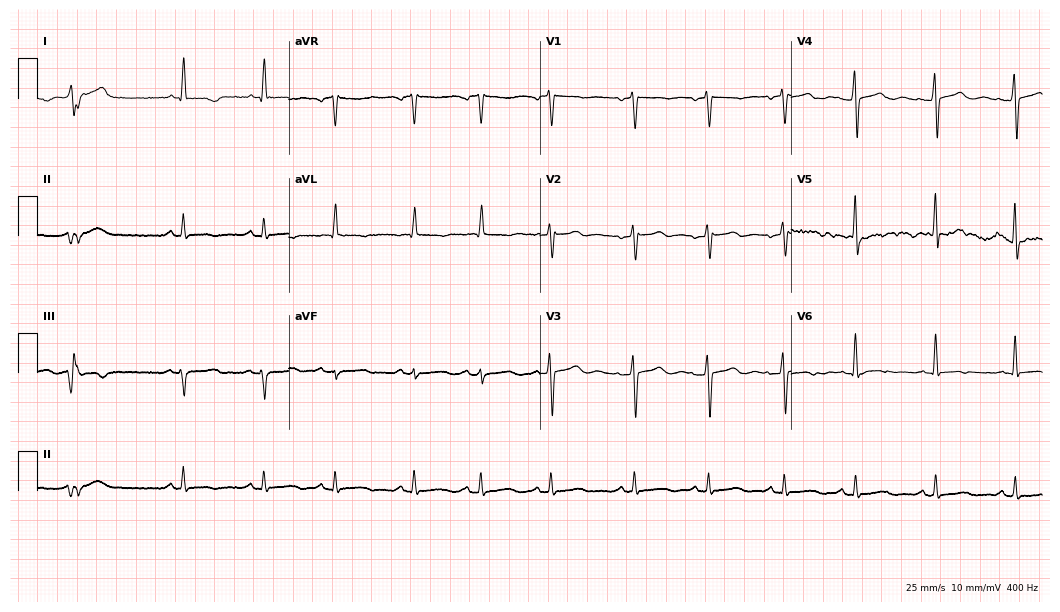
12-lead ECG from a 71-year-old female. No first-degree AV block, right bundle branch block, left bundle branch block, sinus bradycardia, atrial fibrillation or sinus tachycardia recorded for this tracing. Other findings, if any, are not listed.